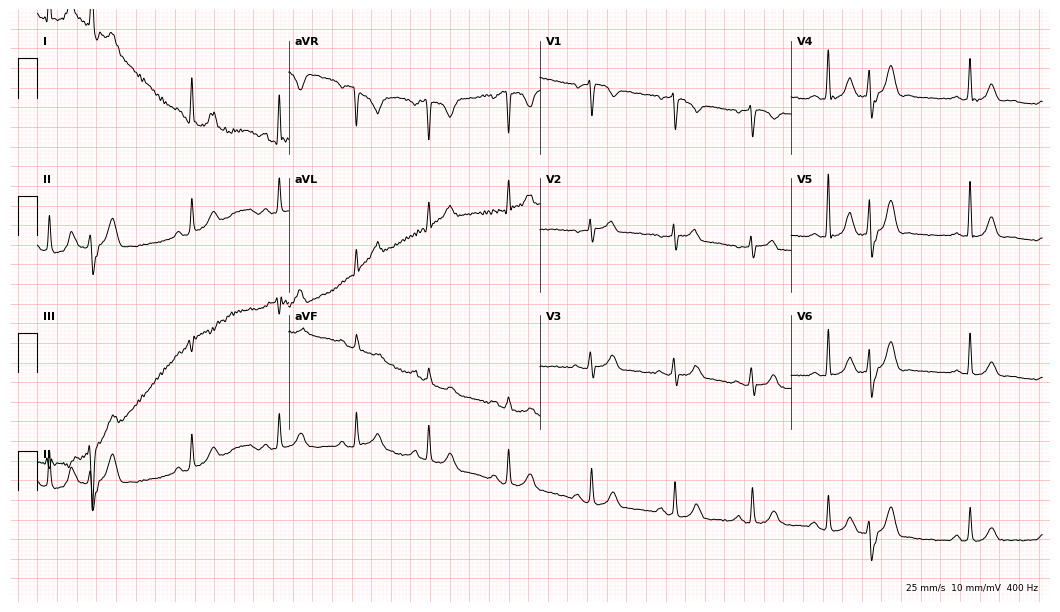
12-lead ECG from a 54-year-old woman. Labelled as a normal ECG.